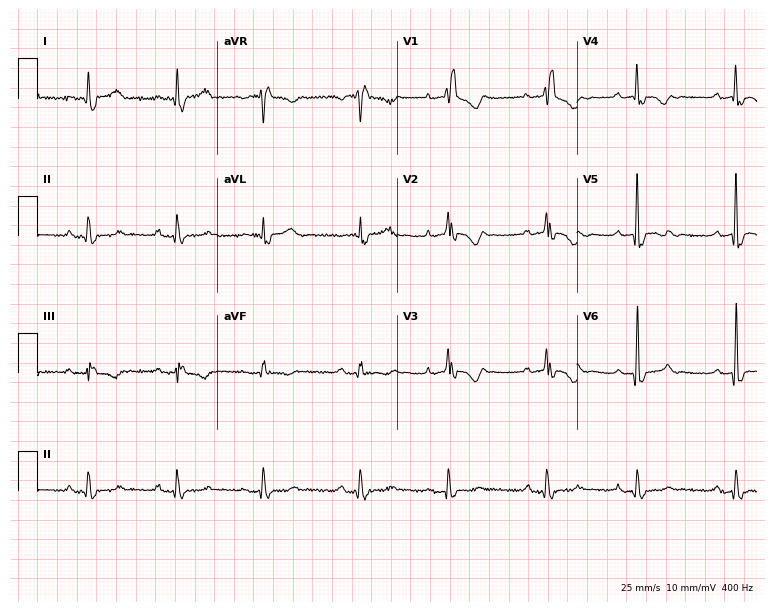
Standard 12-lead ECG recorded from a female patient, 85 years old (7.3-second recording at 400 Hz). The tracing shows right bundle branch block (RBBB).